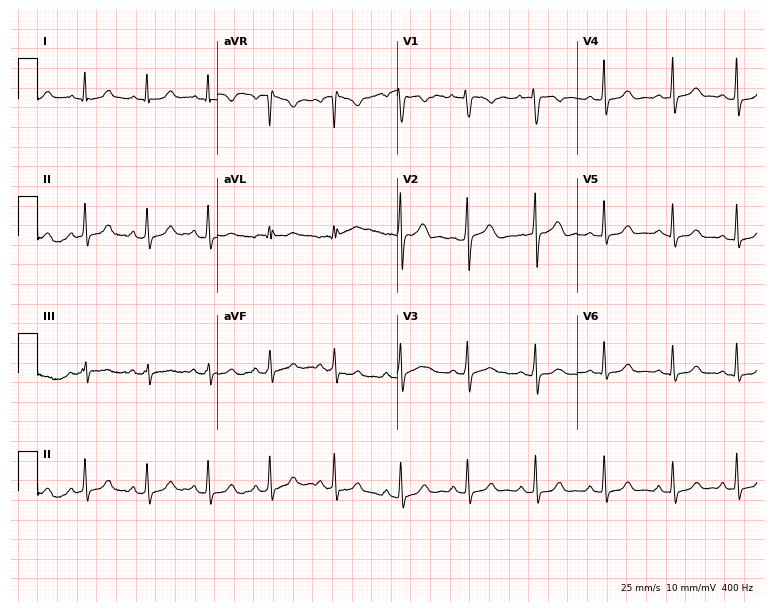
Standard 12-lead ECG recorded from a 28-year-old female (7.3-second recording at 400 Hz). Read as a normal ECG.